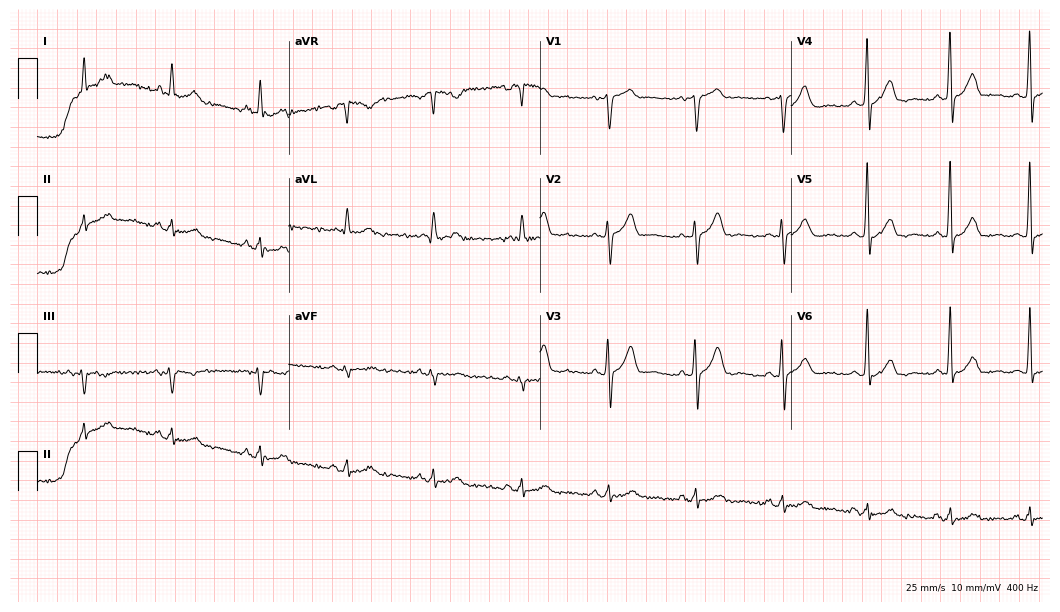
Electrocardiogram (10.2-second recording at 400 Hz), a male, 71 years old. Of the six screened findings (first-degree AV block, right bundle branch block, left bundle branch block, sinus bradycardia, atrial fibrillation, sinus tachycardia), none is recorded. Other findings, if any, are not listed.